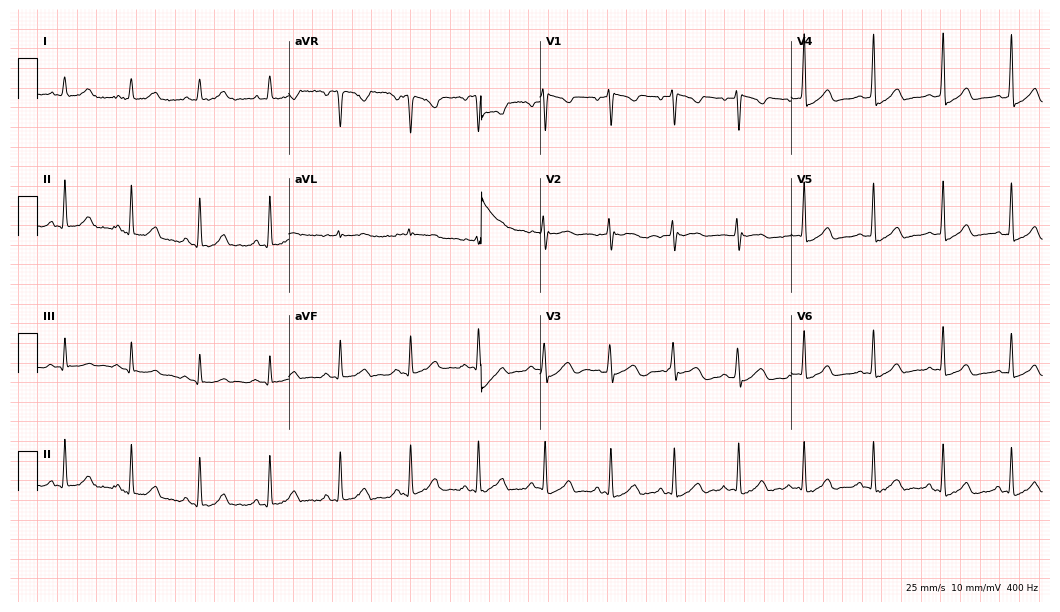
12-lead ECG from a woman, 28 years old. Recorded interpretation: within normal limits.